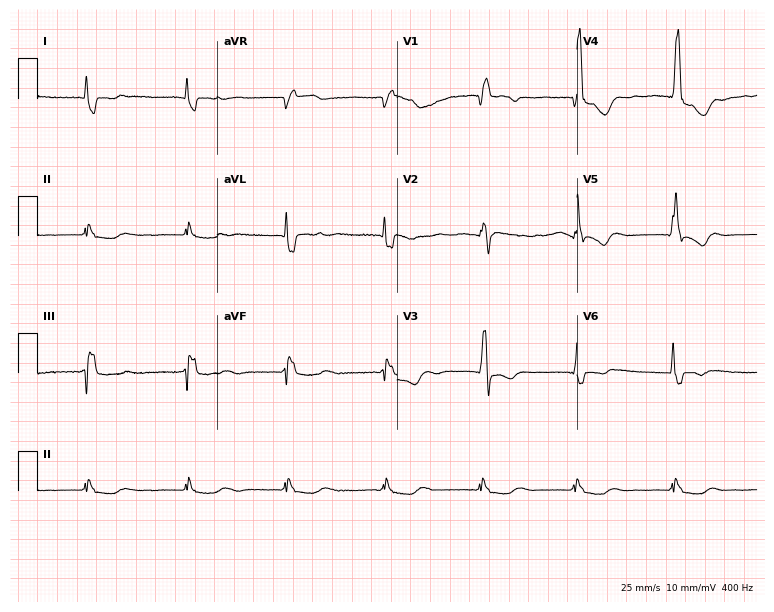
12-lead ECG from a 62-year-old woman (7.3-second recording at 400 Hz). Shows right bundle branch block.